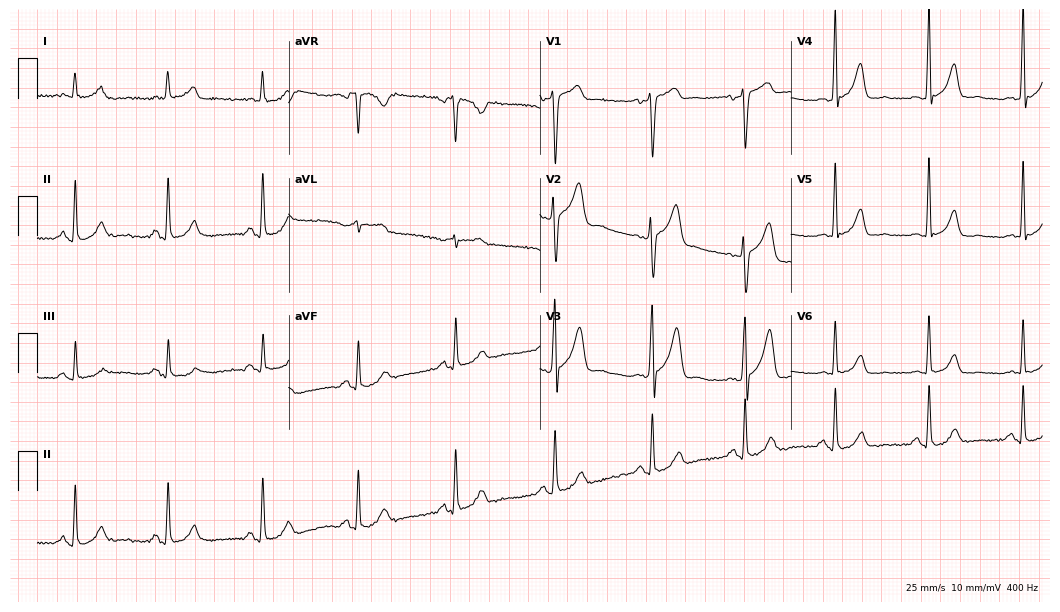
Electrocardiogram (10.2-second recording at 400 Hz), a 43-year-old male. Of the six screened findings (first-degree AV block, right bundle branch block (RBBB), left bundle branch block (LBBB), sinus bradycardia, atrial fibrillation (AF), sinus tachycardia), none is recorded. Other findings, if any, are not listed.